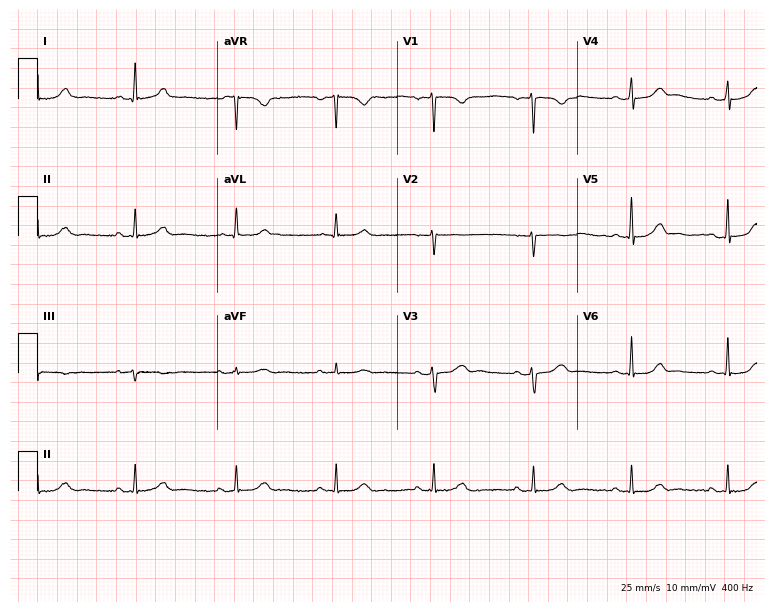
Standard 12-lead ECG recorded from a woman, 36 years old (7.3-second recording at 400 Hz). Read as a normal ECG.